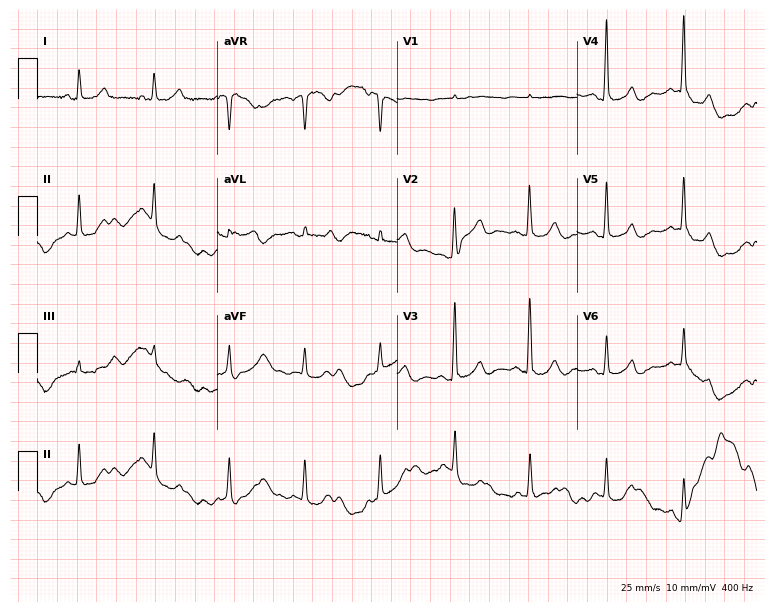
12-lead ECG from a 72-year-old female. Screened for six findings — first-degree AV block, right bundle branch block (RBBB), left bundle branch block (LBBB), sinus bradycardia, atrial fibrillation (AF), sinus tachycardia — none is recorded. Findings outside these six are not listed.